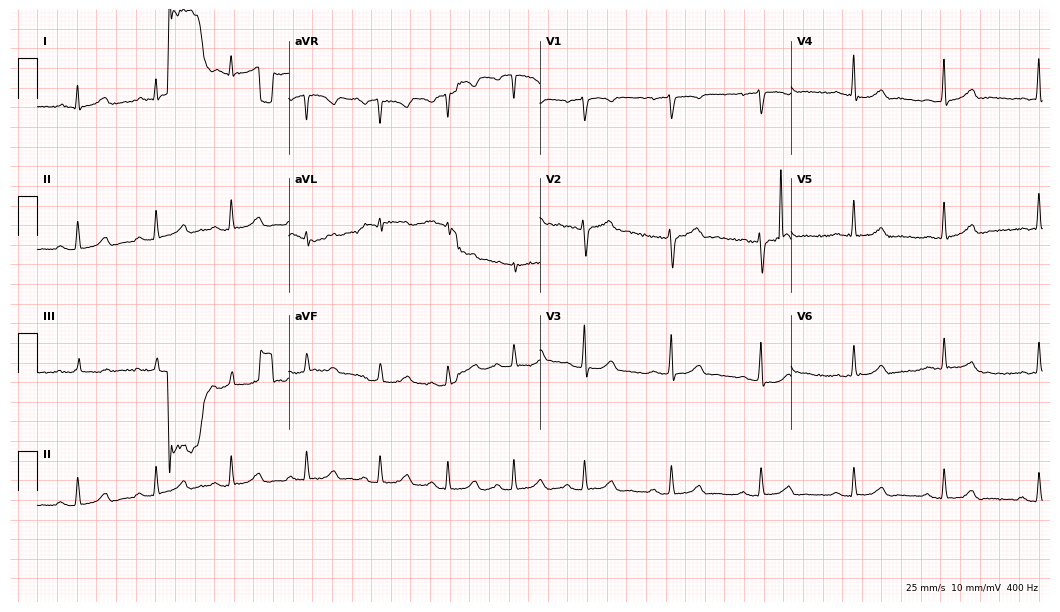
Standard 12-lead ECG recorded from a female, 32 years old (10.2-second recording at 400 Hz). Read as a normal ECG.